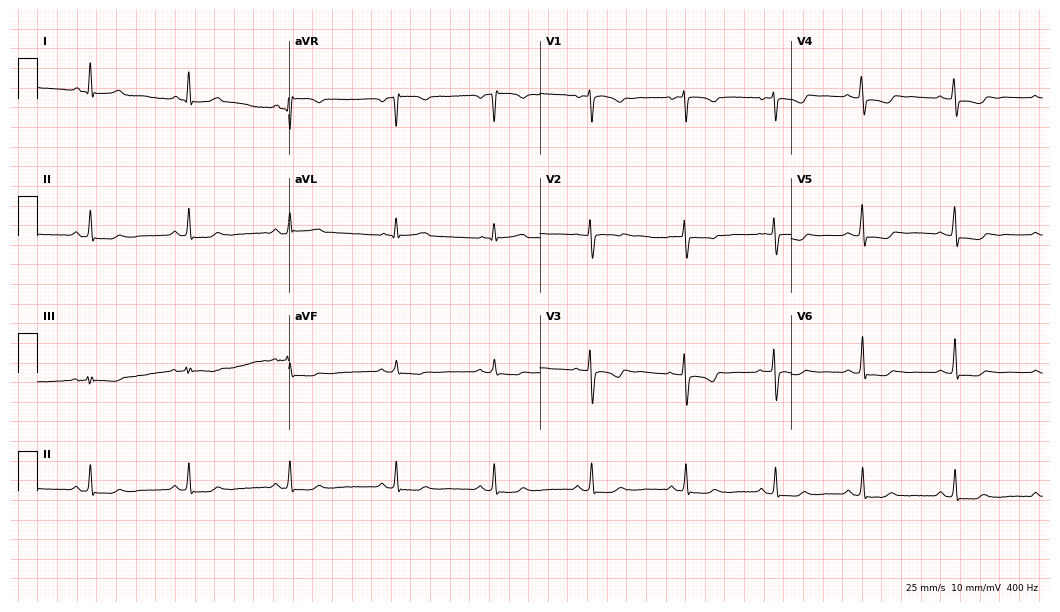
12-lead ECG from a 53-year-old female. Screened for six findings — first-degree AV block, right bundle branch block, left bundle branch block, sinus bradycardia, atrial fibrillation, sinus tachycardia — none is recorded.